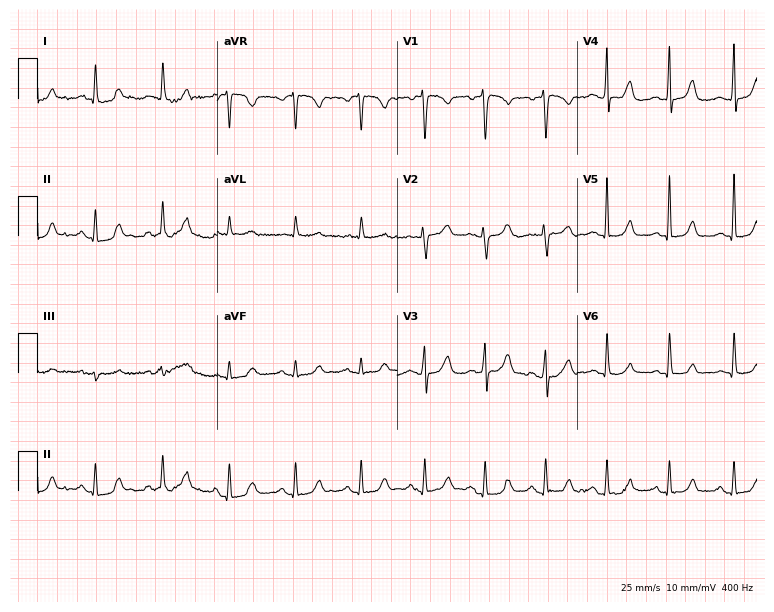
Resting 12-lead electrocardiogram. Patient: a 59-year-old female. None of these six findings is recorded: first-degree AV block, right bundle branch block, left bundle branch block, sinus bradycardia, atrial fibrillation, sinus tachycardia.